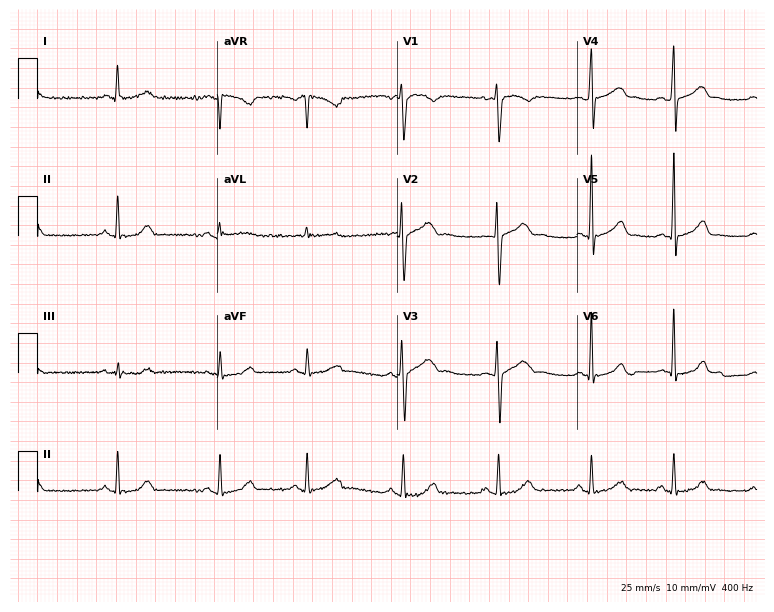
Resting 12-lead electrocardiogram (7.3-second recording at 400 Hz). Patient: a 29-year-old female. Read as a normal ECG.